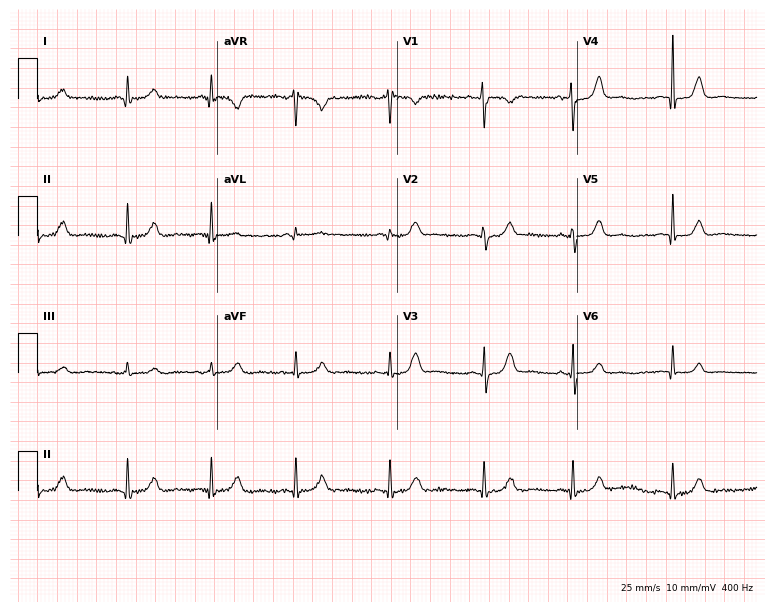
Electrocardiogram, a 29-year-old female. Of the six screened findings (first-degree AV block, right bundle branch block, left bundle branch block, sinus bradycardia, atrial fibrillation, sinus tachycardia), none is recorded.